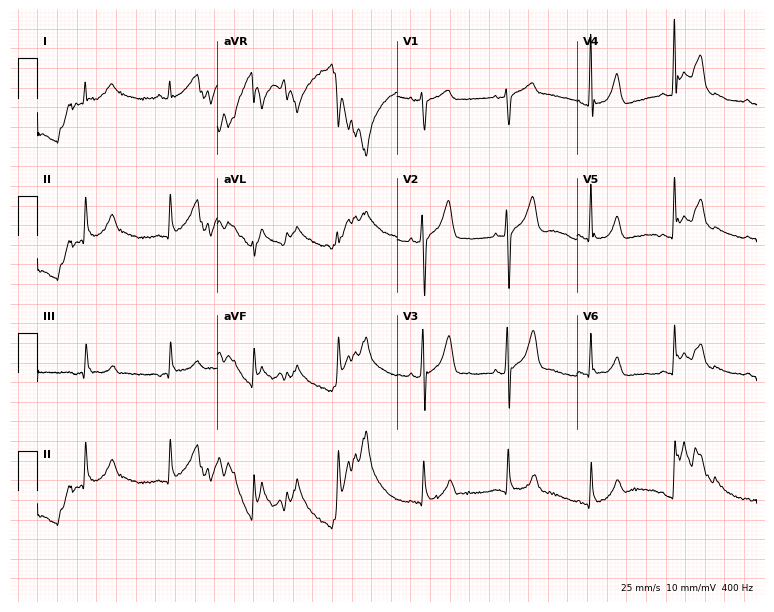
Standard 12-lead ECG recorded from a male, 65 years old (7.3-second recording at 400 Hz). None of these six findings is recorded: first-degree AV block, right bundle branch block, left bundle branch block, sinus bradycardia, atrial fibrillation, sinus tachycardia.